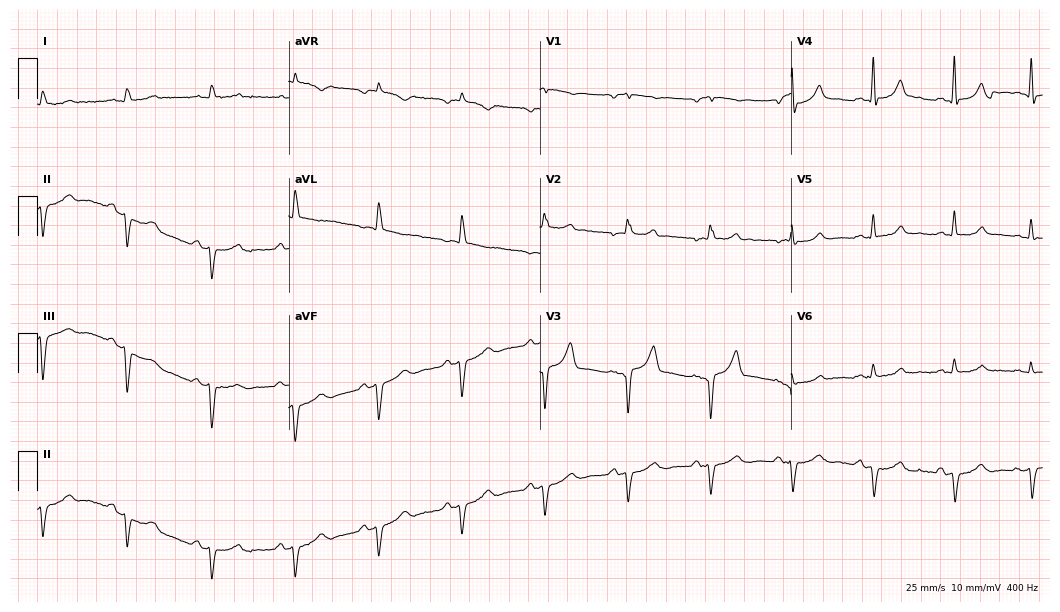
ECG (10.2-second recording at 400 Hz) — a 74-year-old male patient. Screened for six findings — first-degree AV block, right bundle branch block, left bundle branch block, sinus bradycardia, atrial fibrillation, sinus tachycardia — none is recorded. Only these six findings were labelled.